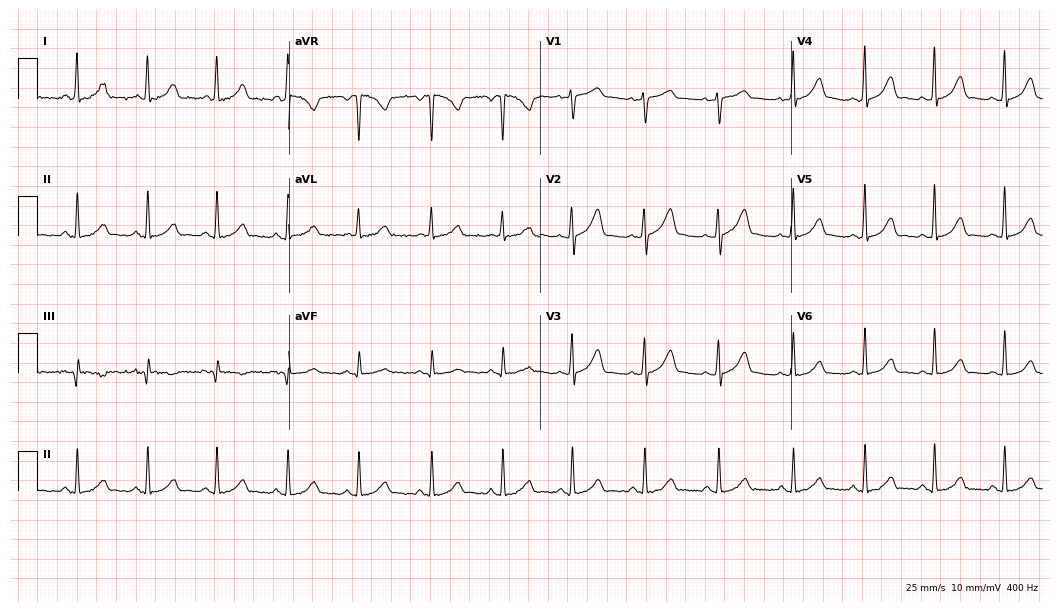
ECG (10.2-second recording at 400 Hz) — a 26-year-old woman. Screened for six findings — first-degree AV block, right bundle branch block (RBBB), left bundle branch block (LBBB), sinus bradycardia, atrial fibrillation (AF), sinus tachycardia — none is recorded. Only these six findings were labelled.